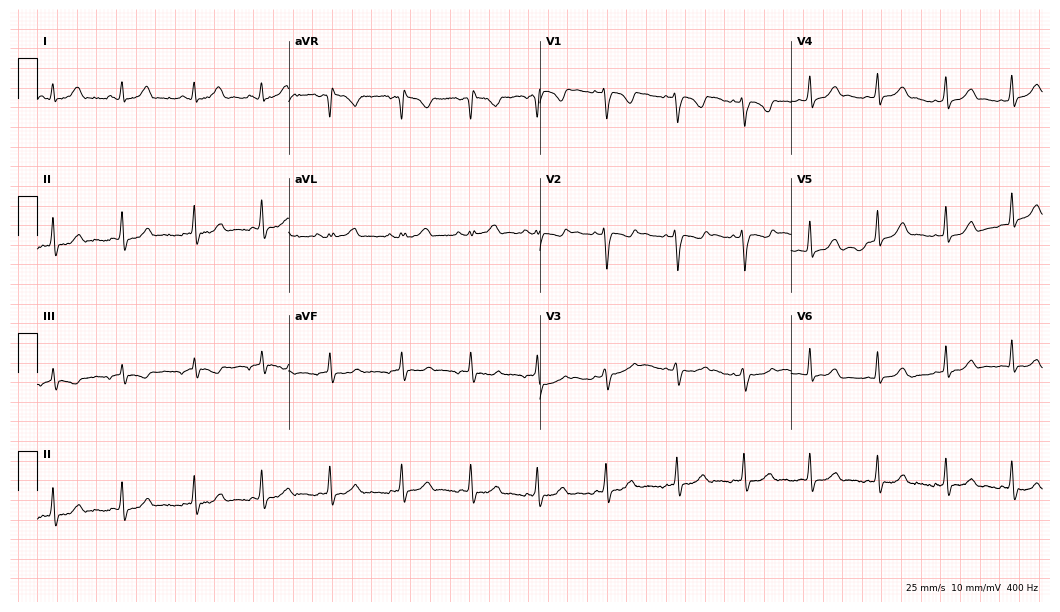
ECG (10.2-second recording at 400 Hz) — a female patient, 25 years old. Labelled as a normal ECG.